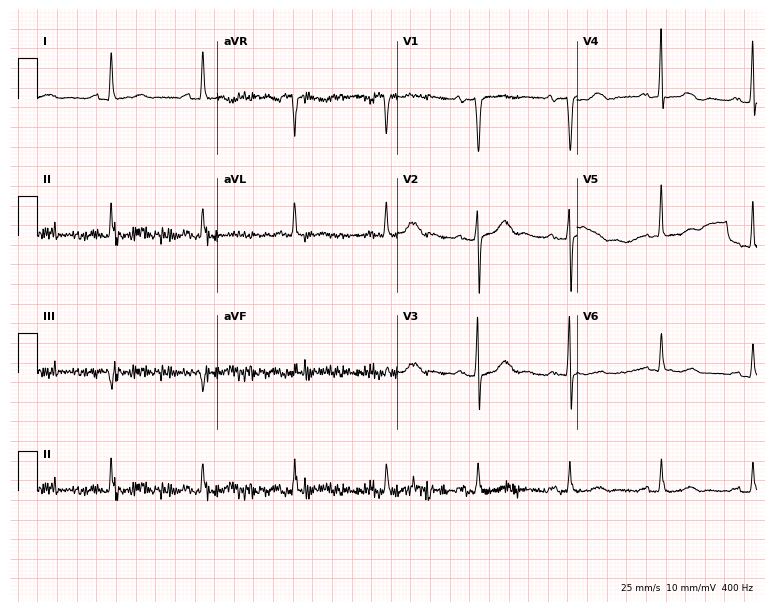
ECG — a male, 83 years old. Labelled as a normal ECG.